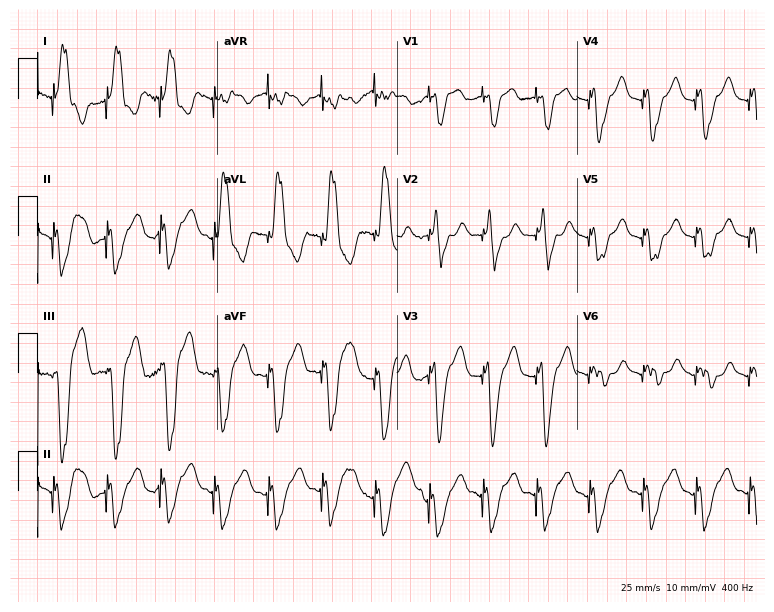
ECG (7.3-second recording at 400 Hz) — a female, 43 years old. Screened for six findings — first-degree AV block, right bundle branch block, left bundle branch block, sinus bradycardia, atrial fibrillation, sinus tachycardia — none is recorded. Findings outside these six are not listed.